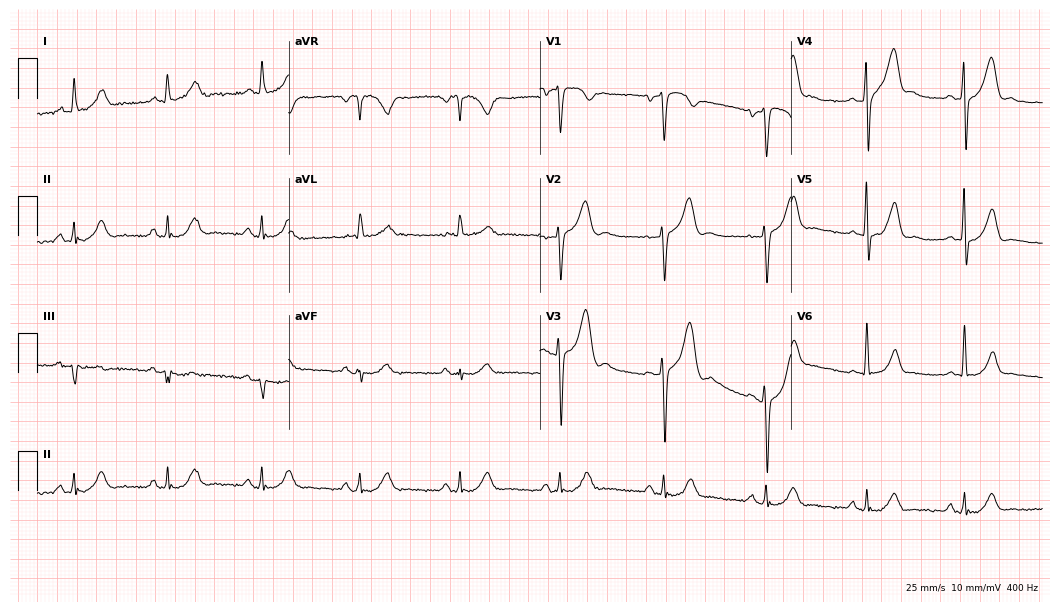
Electrocardiogram, a male, 50 years old. Of the six screened findings (first-degree AV block, right bundle branch block, left bundle branch block, sinus bradycardia, atrial fibrillation, sinus tachycardia), none is recorded. Other findings, if any, are not listed.